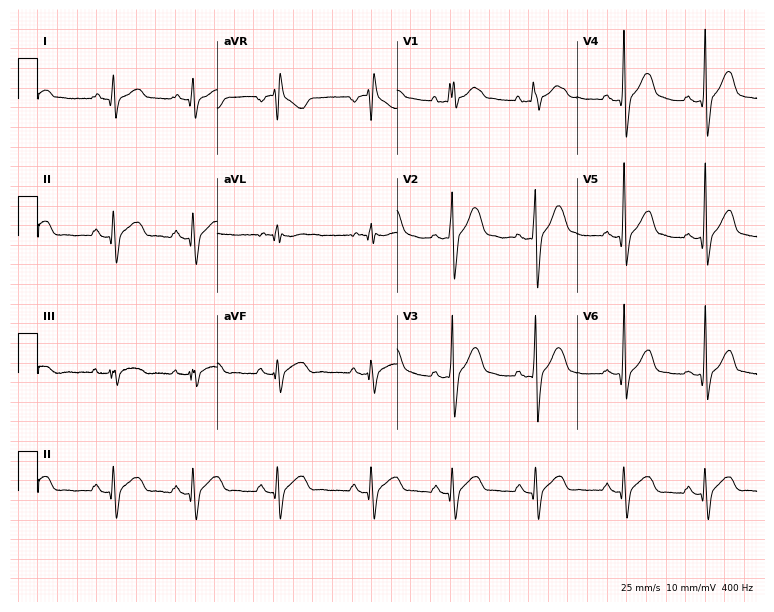
Electrocardiogram (7.3-second recording at 400 Hz), a male patient, 22 years old. Of the six screened findings (first-degree AV block, right bundle branch block, left bundle branch block, sinus bradycardia, atrial fibrillation, sinus tachycardia), none is recorded.